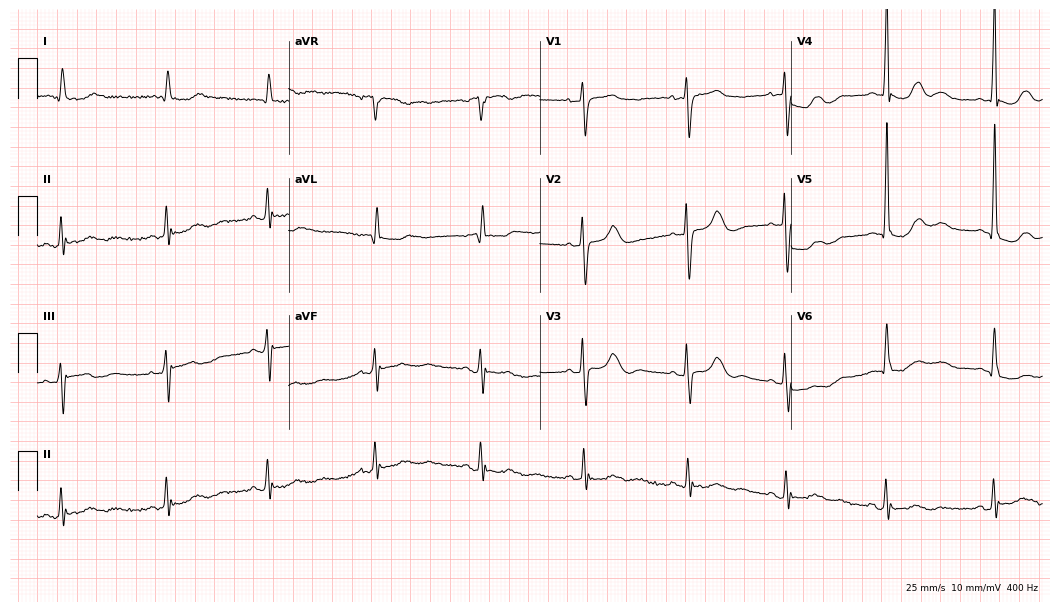
12-lead ECG from a woman, 83 years old (10.2-second recording at 400 Hz). No first-degree AV block, right bundle branch block (RBBB), left bundle branch block (LBBB), sinus bradycardia, atrial fibrillation (AF) or sinus tachycardia recorded for this tracing.